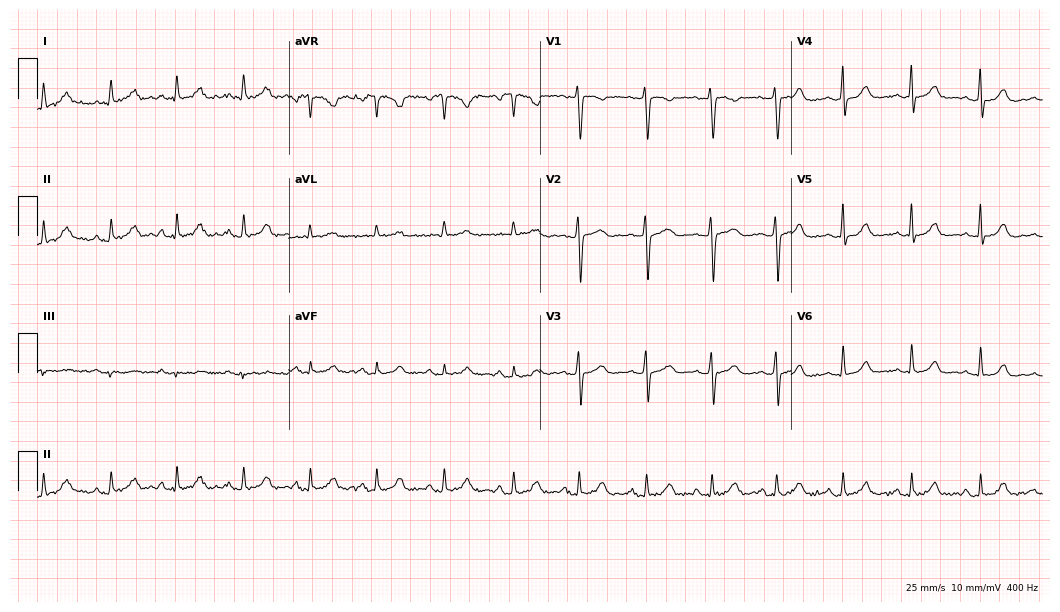
Electrocardiogram, a 39-year-old female patient. Overall reading on record: normal ECG.